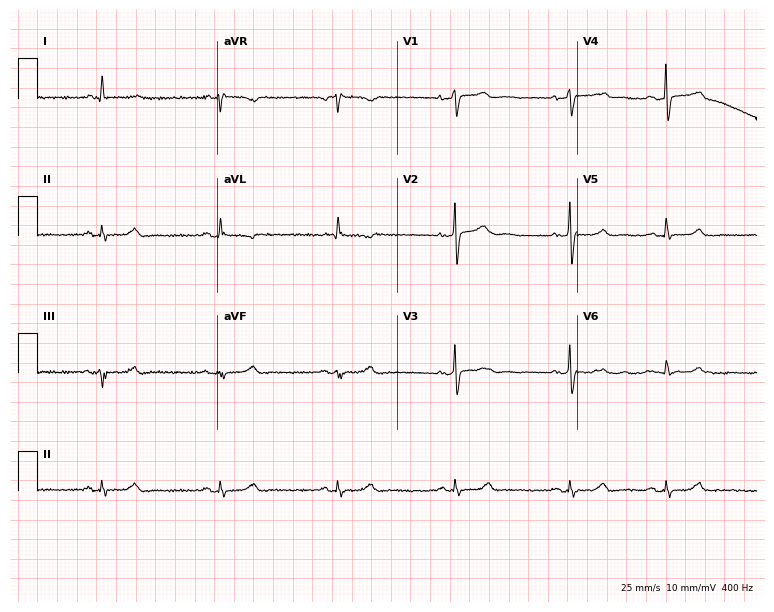
Resting 12-lead electrocardiogram. Patient: a female, 62 years old. None of these six findings is recorded: first-degree AV block, right bundle branch block, left bundle branch block, sinus bradycardia, atrial fibrillation, sinus tachycardia.